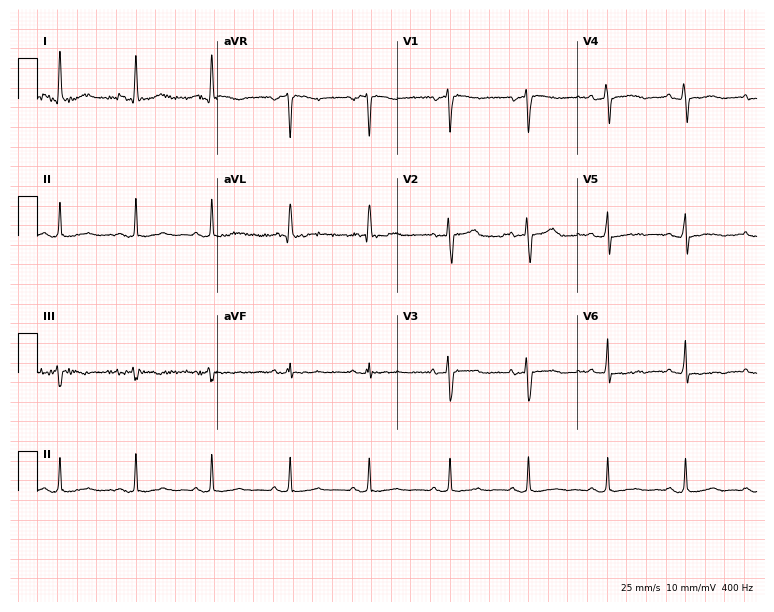
ECG — a female, 56 years old. Screened for six findings — first-degree AV block, right bundle branch block (RBBB), left bundle branch block (LBBB), sinus bradycardia, atrial fibrillation (AF), sinus tachycardia — none is recorded. Other findings, if any, are not listed.